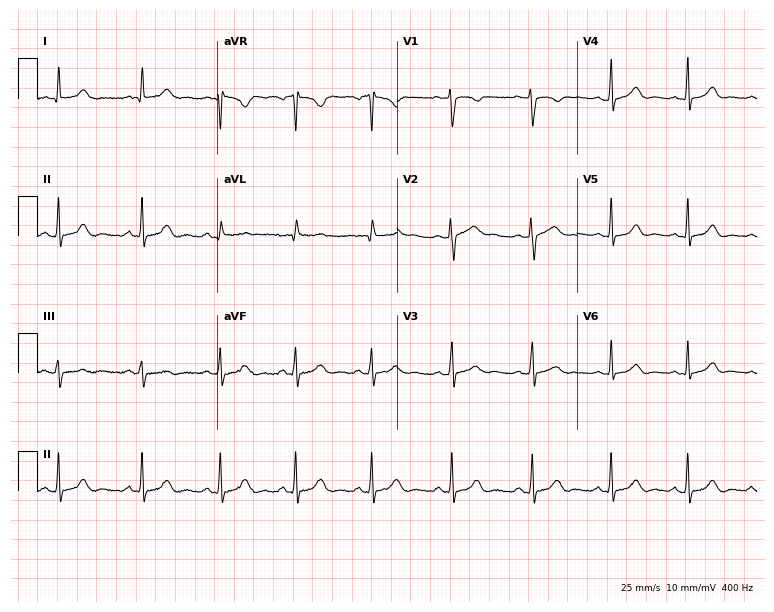
ECG — a female, 29 years old. Screened for six findings — first-degree AV block, right bundle branch block, left bundle branch block, sinus bradycardia, atrial fibrillation, sinus tachycardia — none is recorded. Other findings, if any, are not listed.